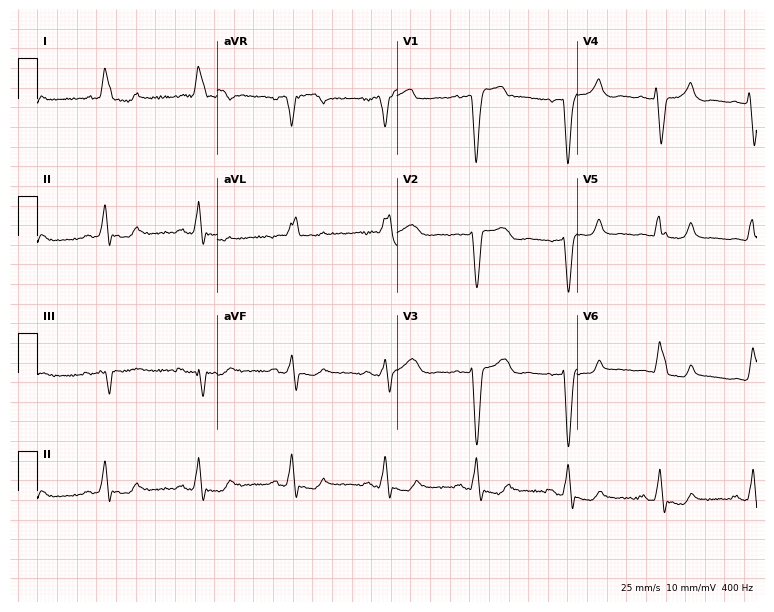
Standard 12-lead ECG recorded from an 82-year-old woman. The tracing shows left bundle branch block (LBBB).